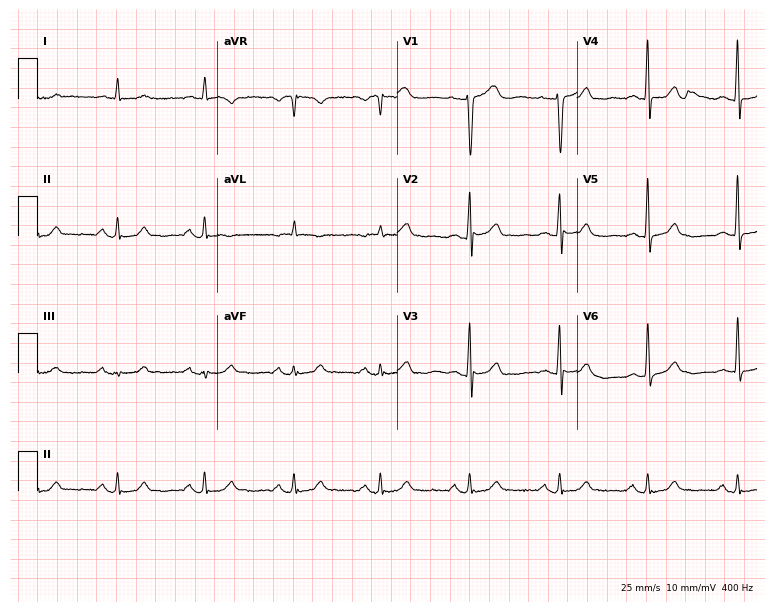
12-lead ECG from a 60-year-old woman (7.3-second recording at 400 Hz). Recorded interpretation: within normal limits.